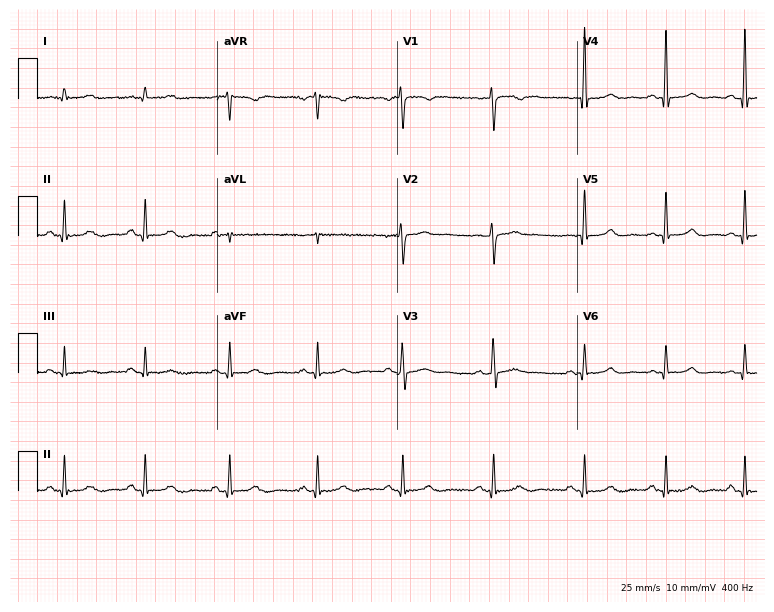
ECG — a female patient, 48 years old. Screened for six findings — first-degree AV block, right bundle branch block, left bundle branch block, sinus bradycardia, atrial fibrillation, sinus tachycardia — none is recorded. Only these six findings were labelled.